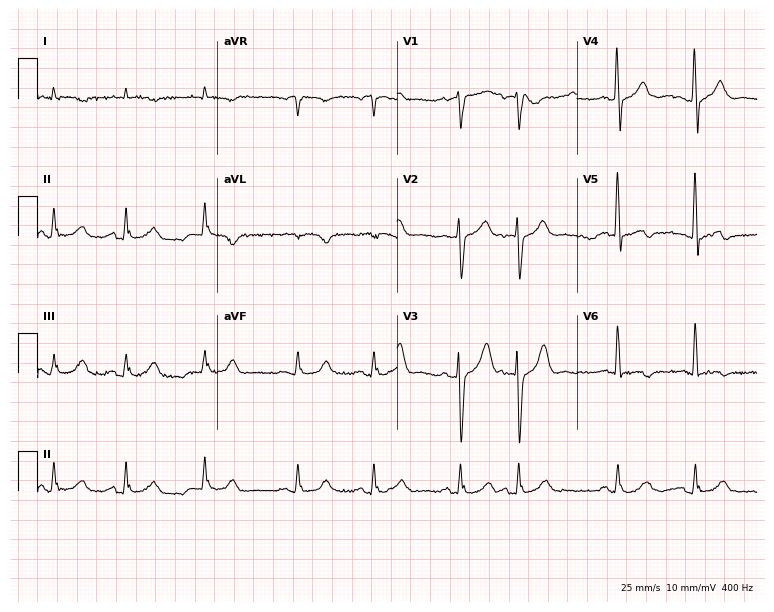
Resting 12-lead electrocardiogram (7.3-second recording at 400 Hz). Patient: a 77-year-old male. None of these six findings is recorded: first-degree AV block, right bundle branch block, left bundle branch block, sinus bradycardia, atrial fibrillation, sinus tachycardia.